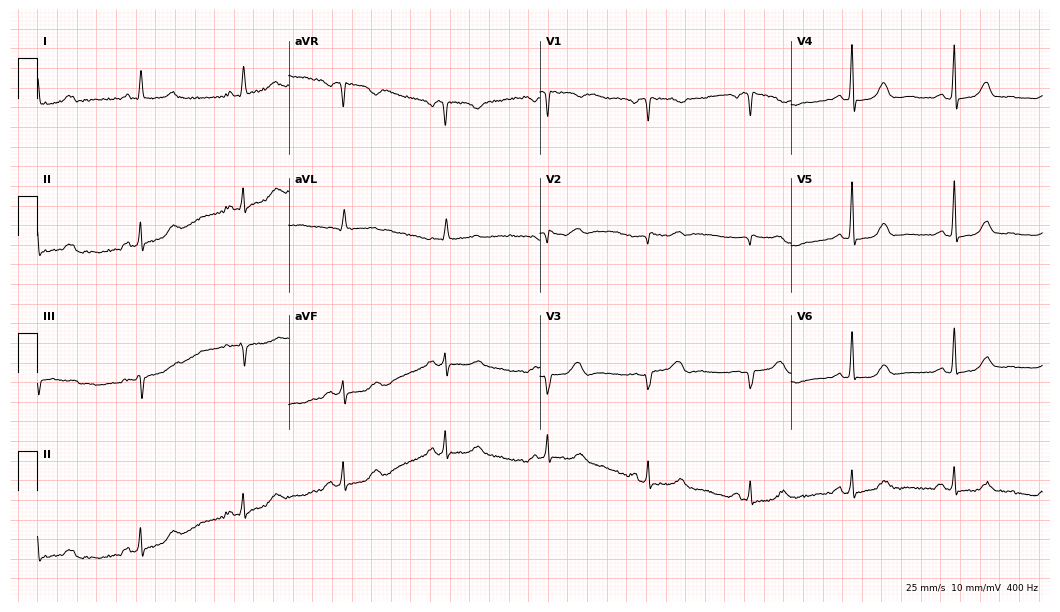
12-lead ECG (10.2-second recording at 400 Hz) from a 79-year-old female. Labelled as a normal ECG.